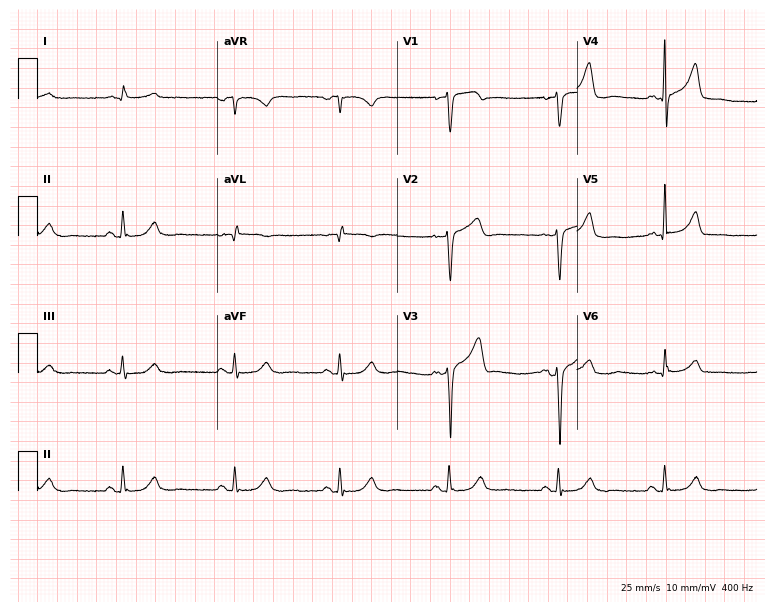
Standard 12-lead ECG recorded from an 80-year-old man (7.3-second recording at 400 Hz). Read as a normal ECG.